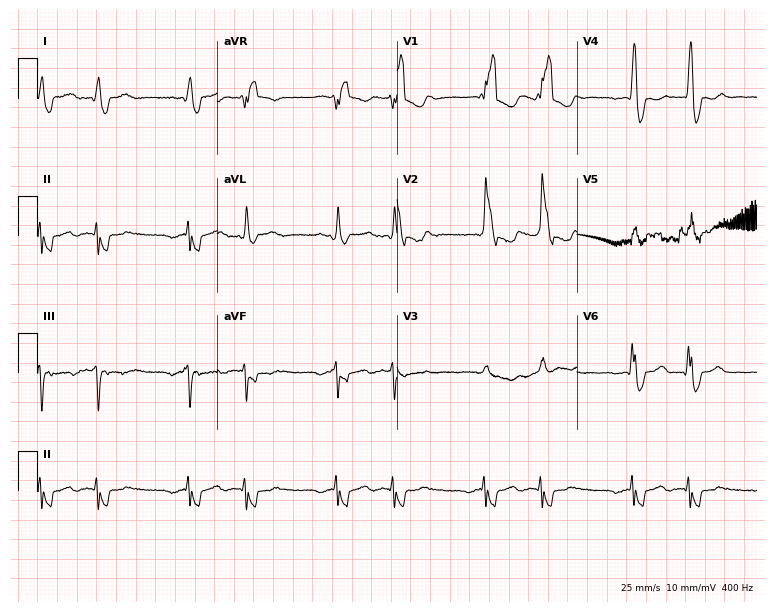
Resting 12-lead electrocardiogram. Patient: an 86-year-old man. The tracing shows atrial fibrillation.